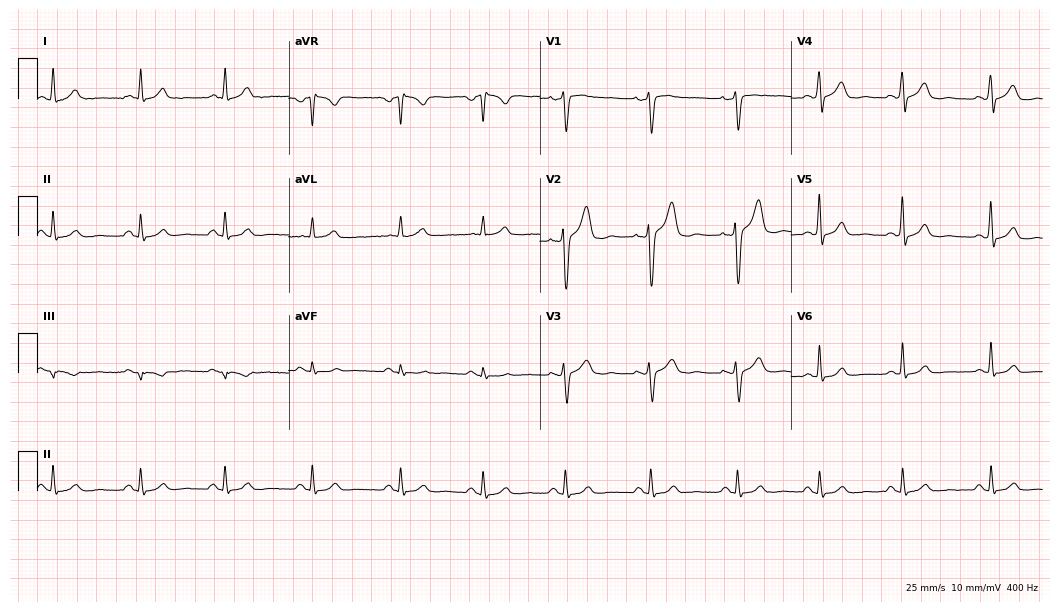
Resting 12-lead electrocardiogram. Patient: a male, 32 years old. Read as a normal ECG.